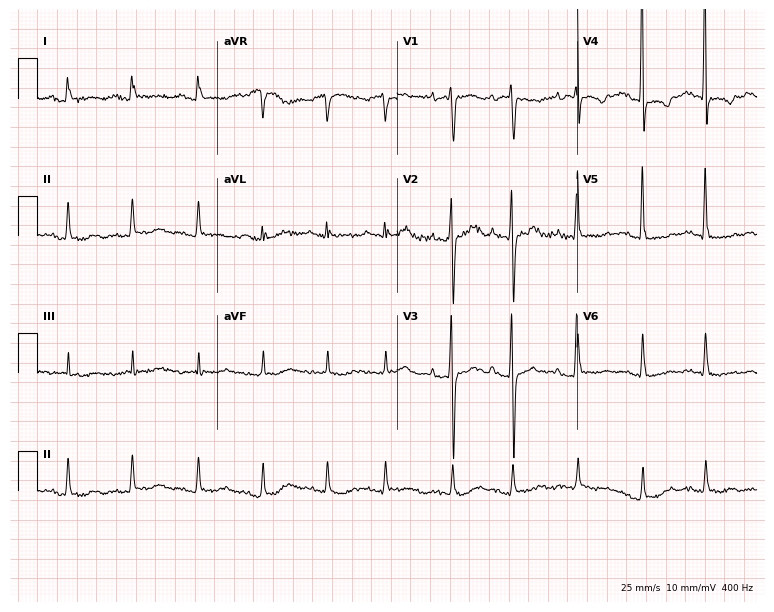
12-lead ECG from an 84-year-old female (7.3-second recording at 400 Hz). No first-degree AV block, right bundle branch block (RBBB), left bundle branch block (LBBB), sinus bradycardia, atrial fibrillation (AF) or sinus tachycardia recorded for this tracing.